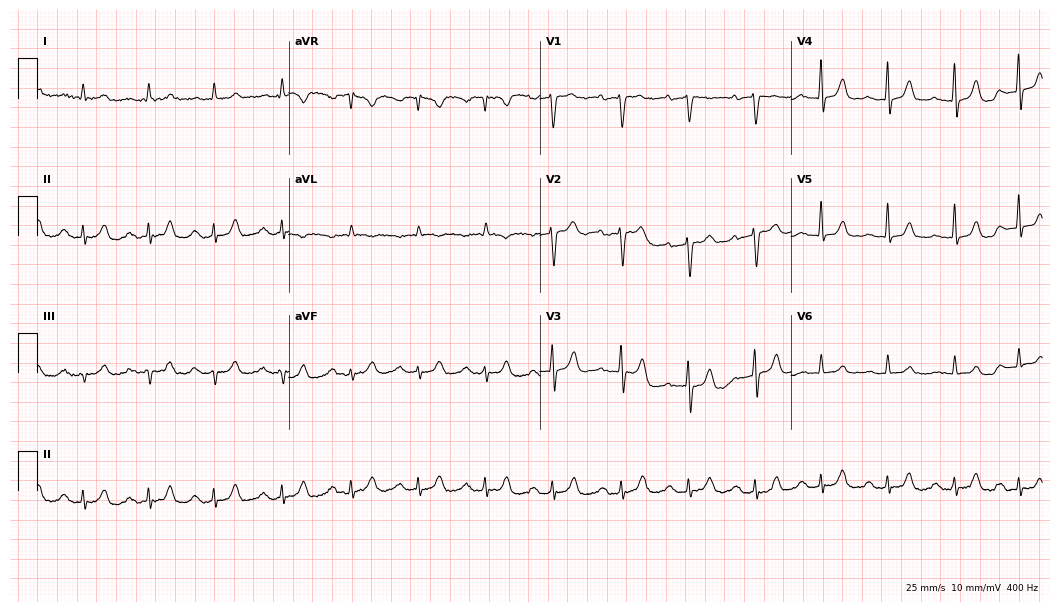
Electrocardiogram, an 81-year-old male patient. Interpretation includes first-degree AV block.